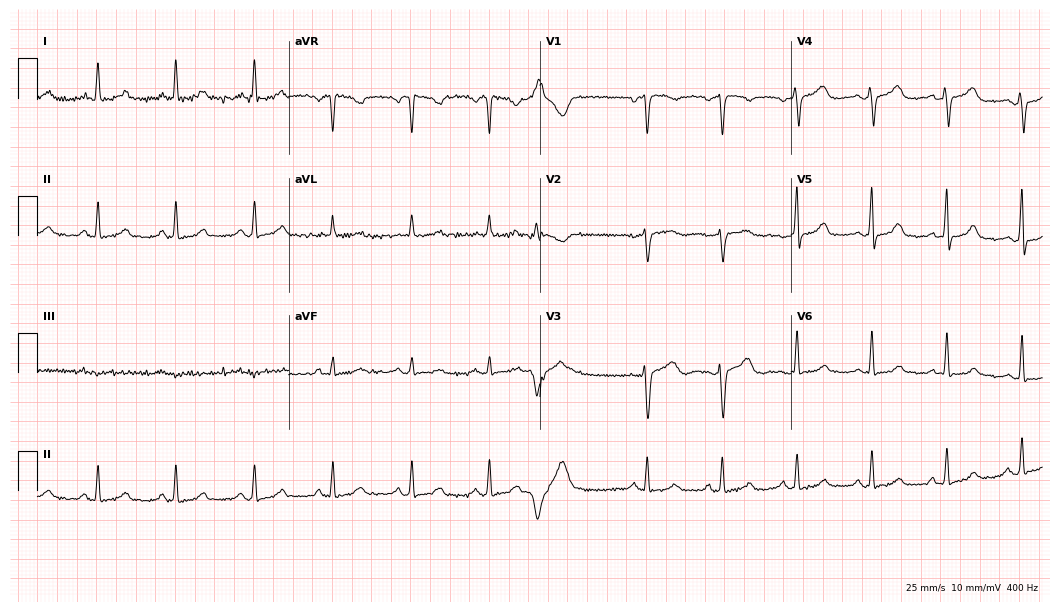
ECG — a female patient, 64 years old. Screened for six findings — first-degree AV block, right bundle branch block (RBBB), left bundle branch block (LBBB), sinus bradycardia, atrial fibrillation (AF), sinus tachycardia — none is recorded. Only these six findings were labelled.